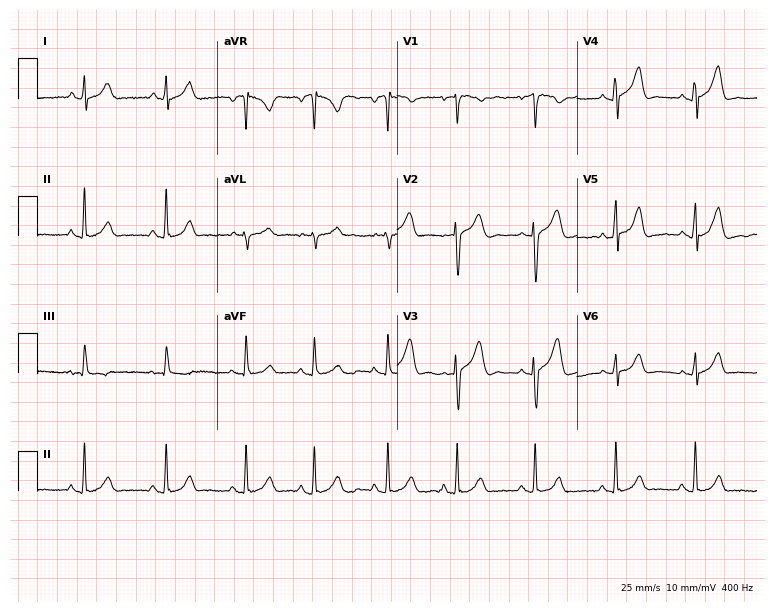
Standard 12-lead ECG recorded from a 21-year-old male patient (7.3-second recording at 400 Hz). Read as a normal ECG.